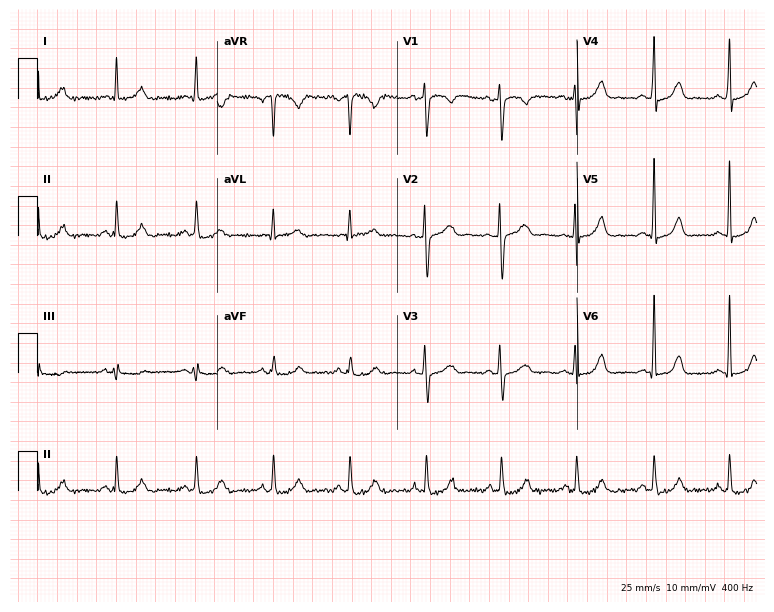
ECG (7.3-second recording at 400 Hz) — a female, 27 years old. Labelled as a normal ECG.